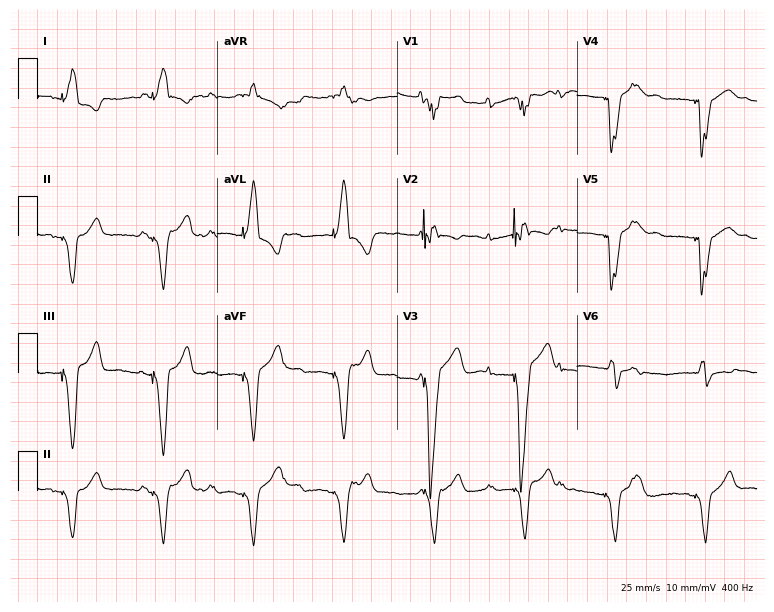
Electrocardiogram, a woman, 80 years old. Of the six screened findings (first-degree AV block, right bundle branch block (RBBB), left bundle branch block (LBBB), sinus bradycardia, atrial fibrillation (AF), sinus tachycardia), none is recorded. Only these six findings were labelled.